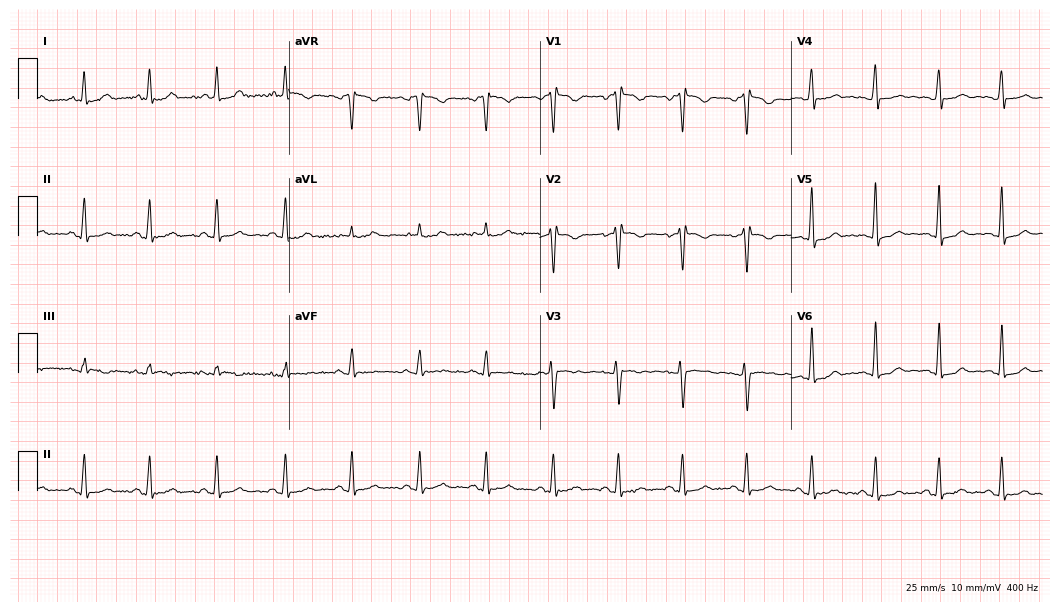
Resting 12-lead electrocardiogram. Patient: a 39-year-old female. None of these six findings is recorded: first-degree AV block, right bundle branch block, left bundle branch block, sinus bradycardia, atrial fibrillation, sinus tachycardia. Only these six findings were labelled.